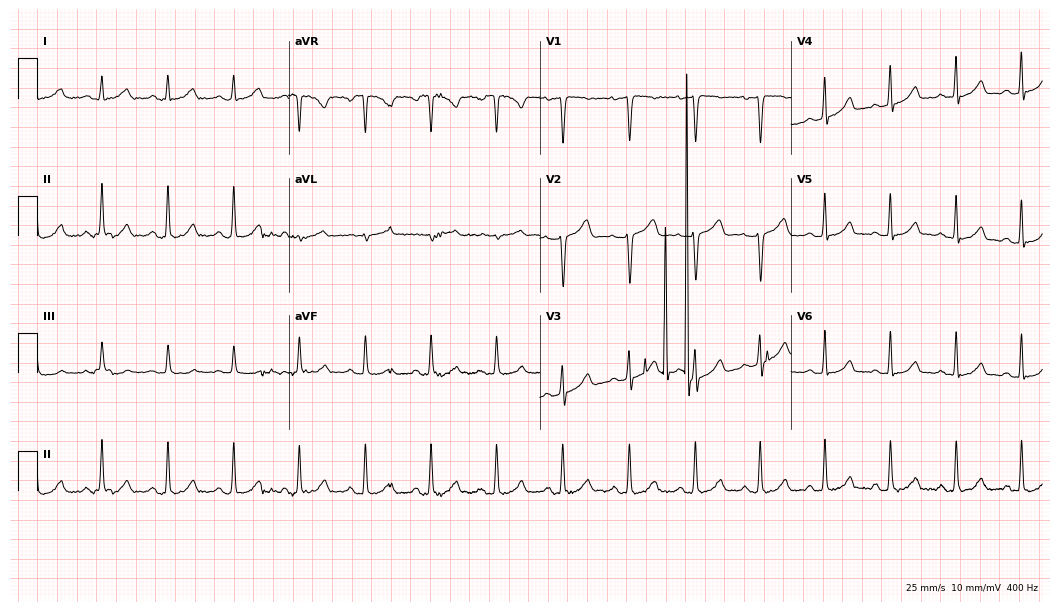
12-lead ECG (10.2-second recording at 400 Hz) from a 43-year-old female patient. Labelled as a normal ECG.